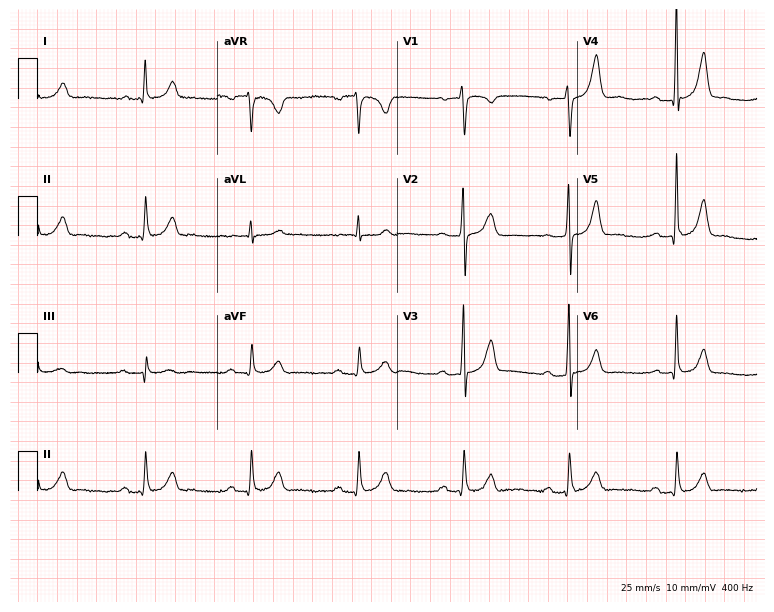
12-lead ECG from a 44-year-old male patient (7.3-second recording at 400 Hz). Shows first-degree AV block.